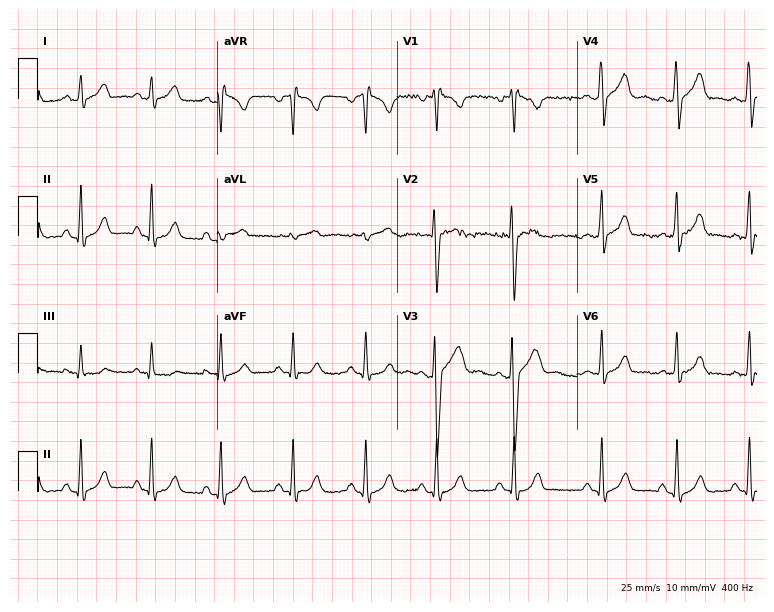
12-lead ECG from a 17-year-old man (7.3-second recording at 400 Hz). No first-degree AV block, right bundle branch block, left bundle branch block, sinus bradycardia, atrial fibrillation or sinus tachycardia recorded for this tracing. Other findings, if any, are not listed.